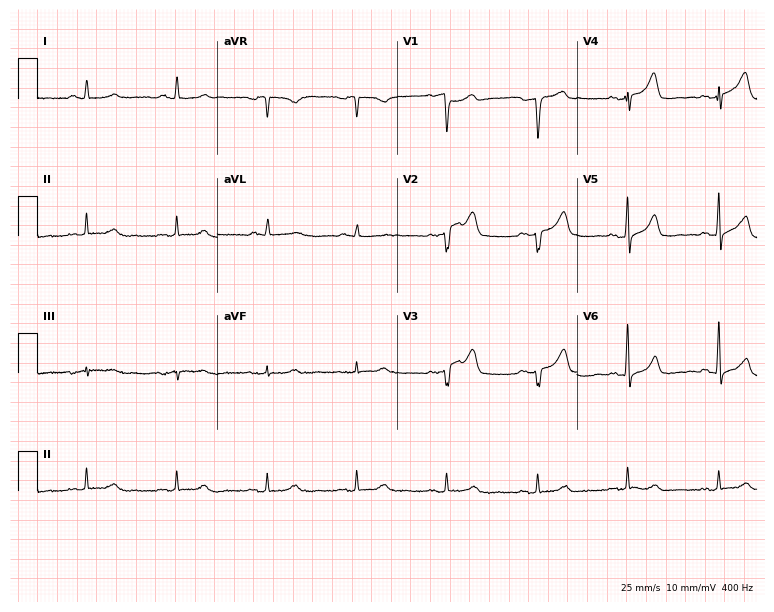
12-lead ECG from a man, 66 years old (7.3-second recording at 400 Hz). No first-degree AV block, right bundle branch block, left bundle branch block, sinus bradycardia, atrial fibrillation or sinus tachycardia recorded for this tracing. Only these six findings were labelled.